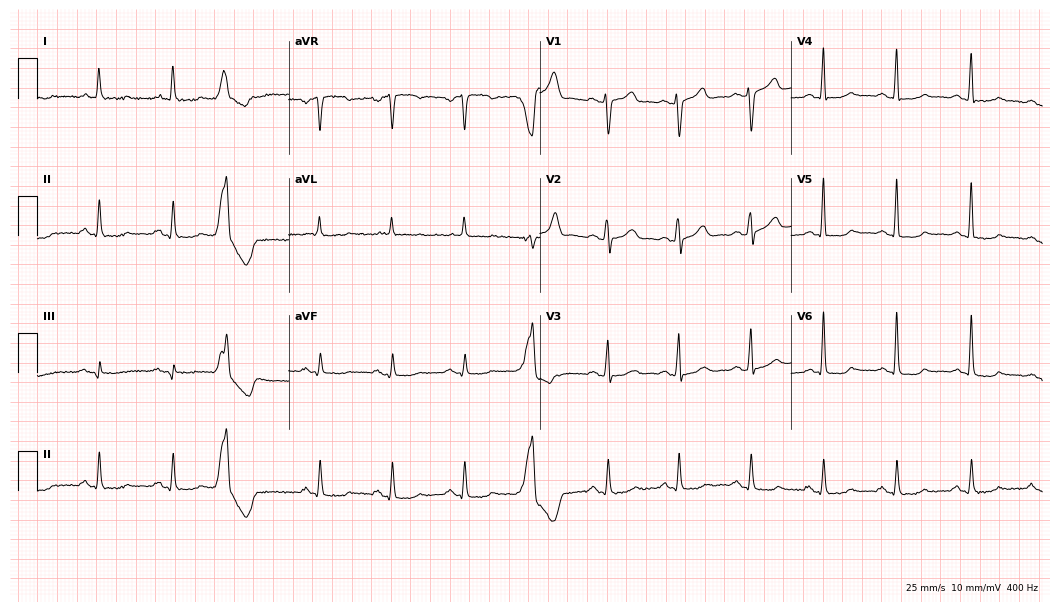
ECG (10.2-second recording at 400 Hz) — a male, 71 years old. Screened for six findings — first-degree AV block, right bundle branch block, left bundle branch block, sinus bradycardia, atrial fibrillation, sinus tachycardia — none is recorded. Other findings, if any, are not listed.